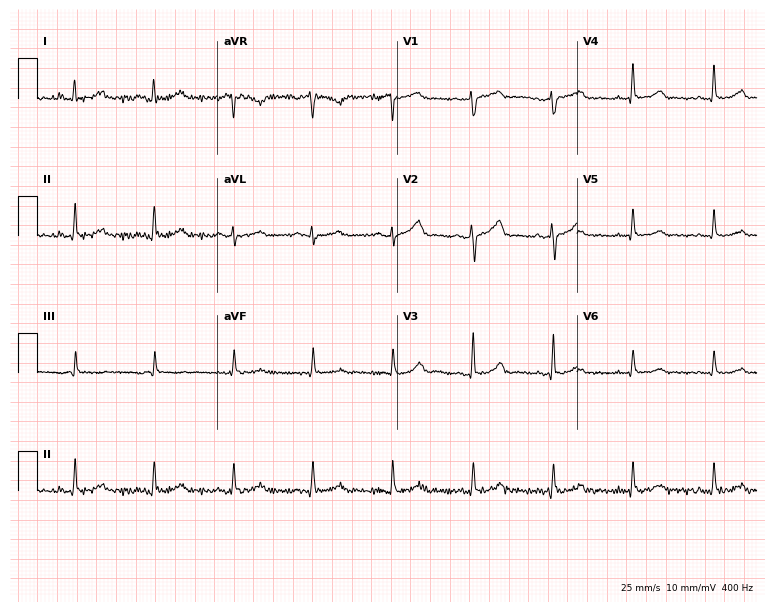
Electrocardiogram (7.3-second recording at 400 Hz), a female, 50 years old. Of the six screened findings (first-degree AV block, right bundle branch block, left bundle branch block, sinus bradycardia, atrial fibrillation, sinus tachycardia), none is recorded.